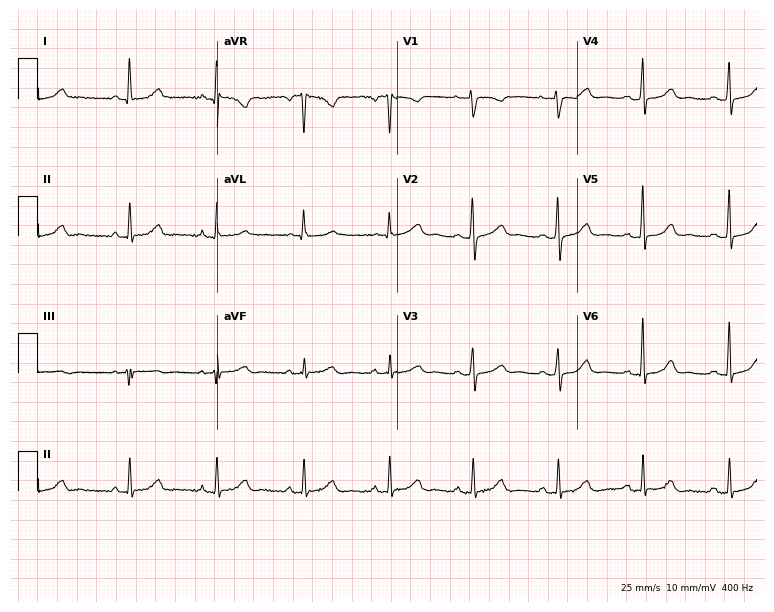
ECG (7.3-second recording at 400 Hz) — a 47-year-old female patient. Labelled as a normal ECG.